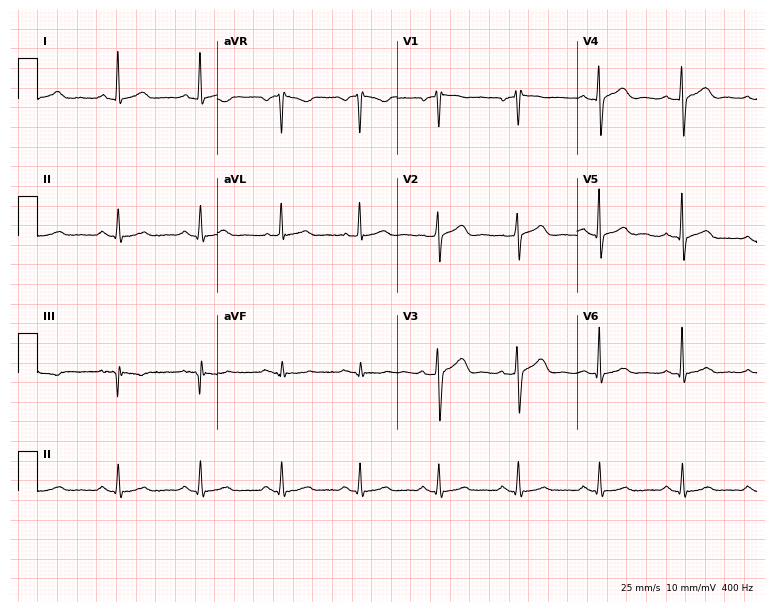
Resting 12-lead electrocardiogram (7.3-second recording at 400 Hz). Patient: a man, 55 years old. Read as a normal ECG.